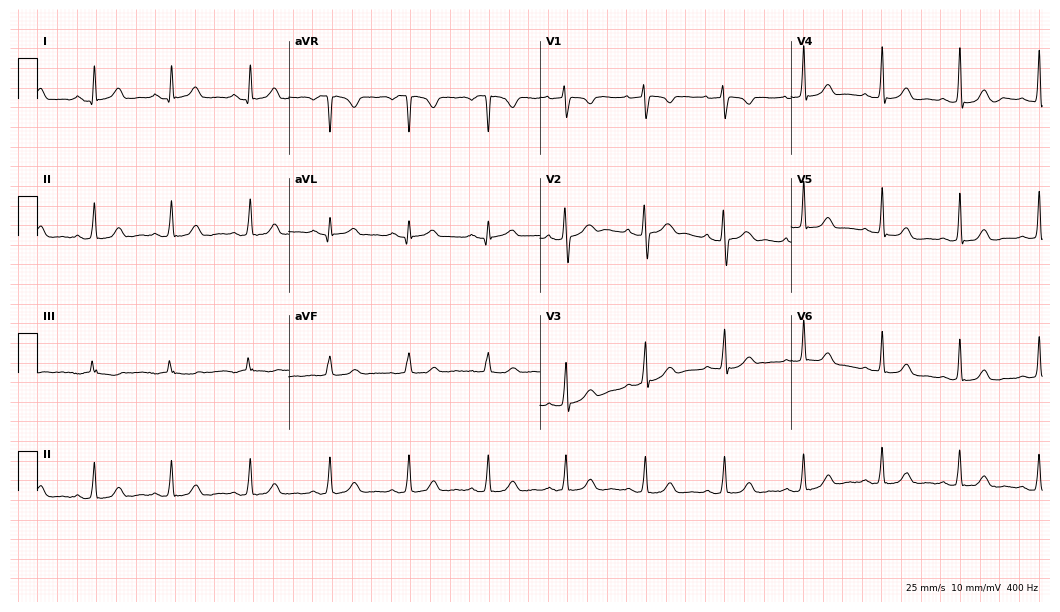
Resting 12-lead electrocardiogram (10.2-second recording at 400 Hz). Patient: a 36-year-old woman. None of these six findings is recorded: first-degree AV block, right bundle branch block, left bundle branch block, sinus bradycardia, atrial fibrillation, sinus tachycardia.